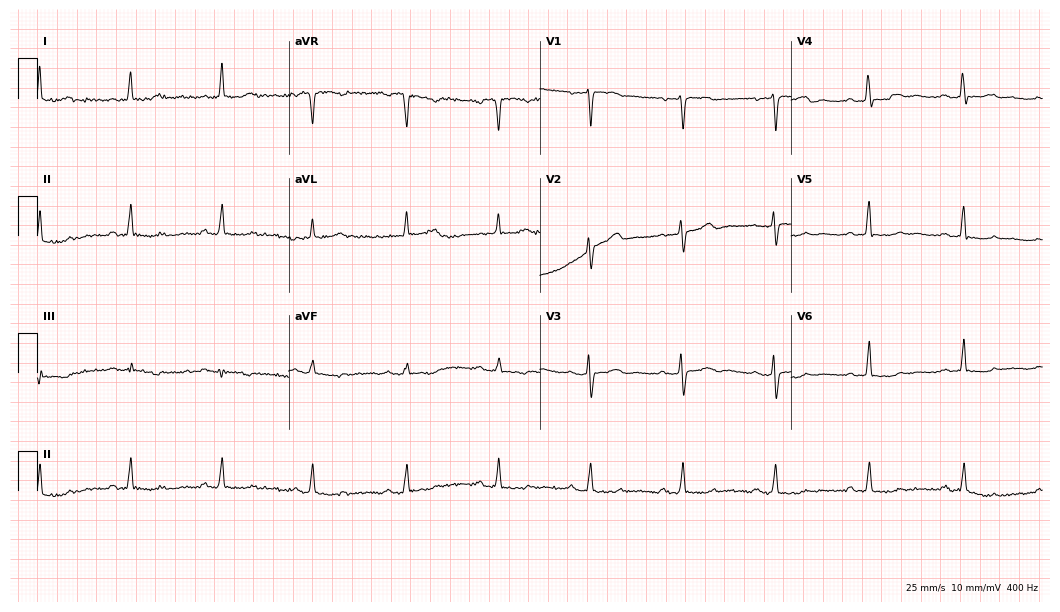
Resting 12-lead electrocardiogram (10.2-second recording at 400 Hz). Patient: a female, 54 years old. Read as a normal ECG.